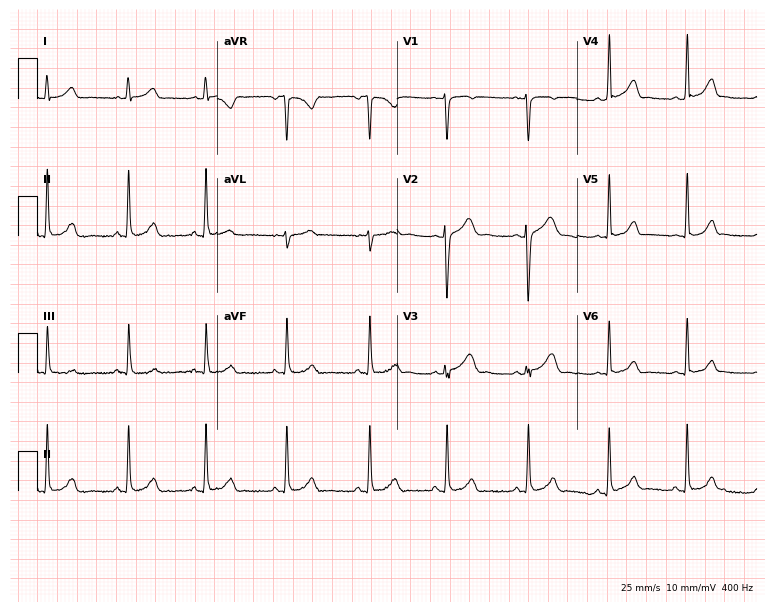
12-lead ECG from a female, 21 years old (7.3-second recording at 400 Hz). No first-degree AV block, right bundle branch block, left bundle branch block, sinus bradycardia, atrial fibrillation or sinus tachycardia recorded for this tracing.